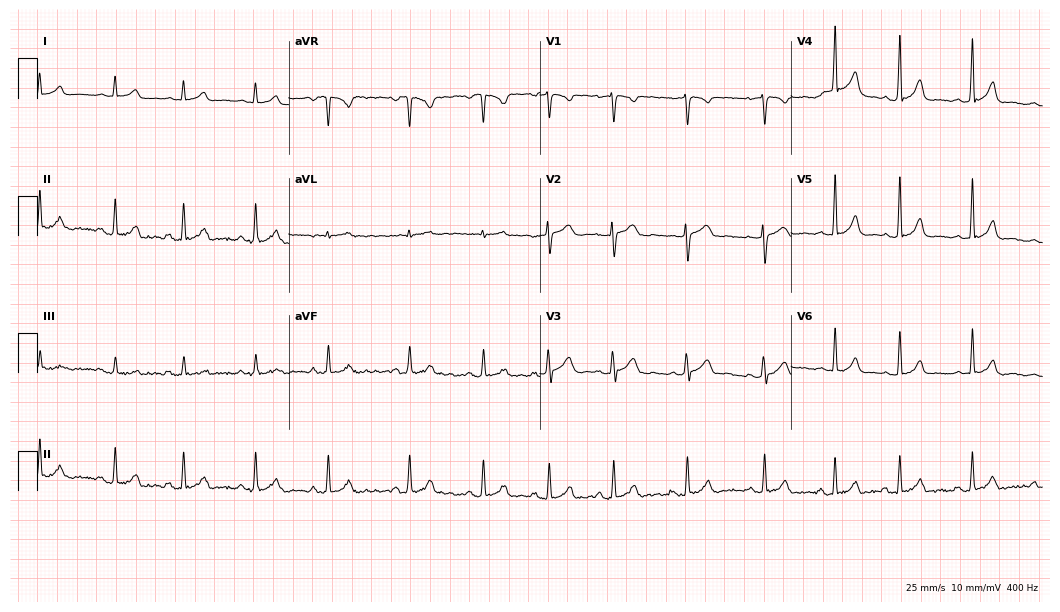
12-lead ECG (10.2-second recording at 400 Hz) from a 20-year-old woman. Labelled as a normal ECG.